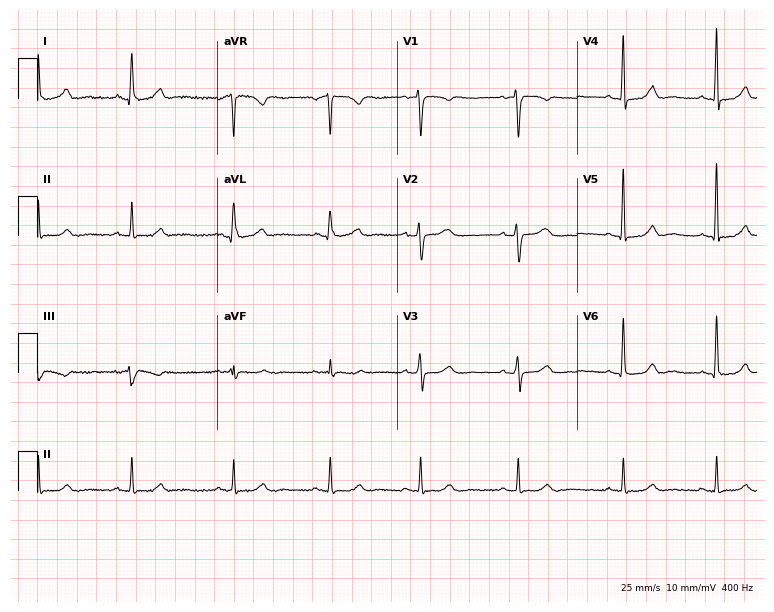
12-lead ECG (7.3-second recording at 400 Hz) from a female patient, 46 years old. Labelled as a normal ECG.